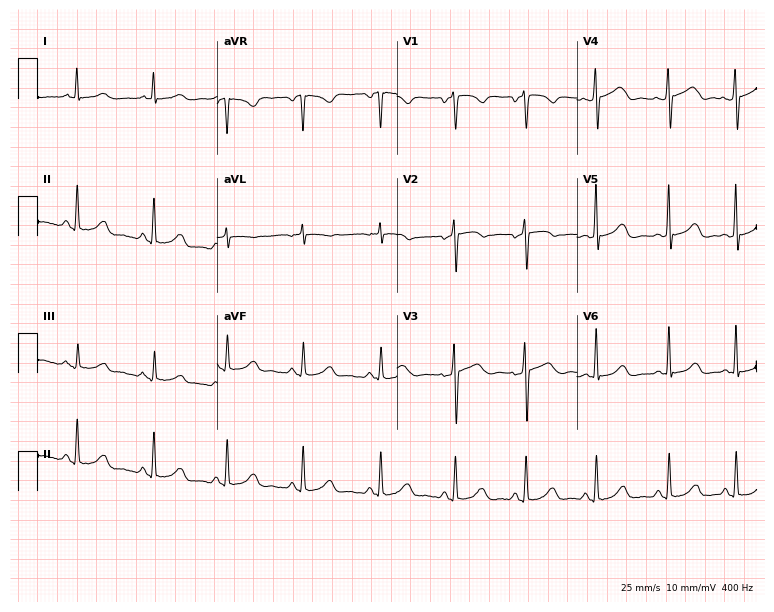
Resting 12-lead electrocardiogram (7.3-second recording at 400 Hz). Patient: a 54-year-old female. None of these six findings is recorded: first-degree AV block, right bundle branch block (RBBB), left bundle branch block (LBBB), sinus bradycardia, atrial fibrillation (AF), sinus tachycardia. Findings outside these six are not listed.